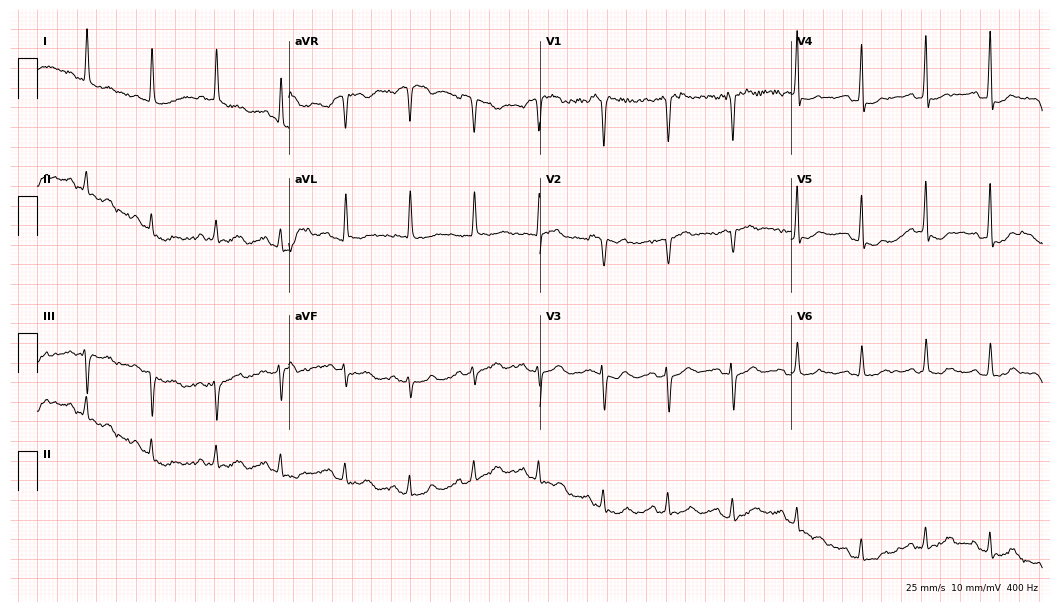
12-lead ECG from a 78-year-old woman. Screened for six findings — first-degree AV block, right bundle branch block, left bundle branch block, sinus bradycardia, atrial fibrillation, sinus tachycardia — none is recorded. Only these six findings were labelled.